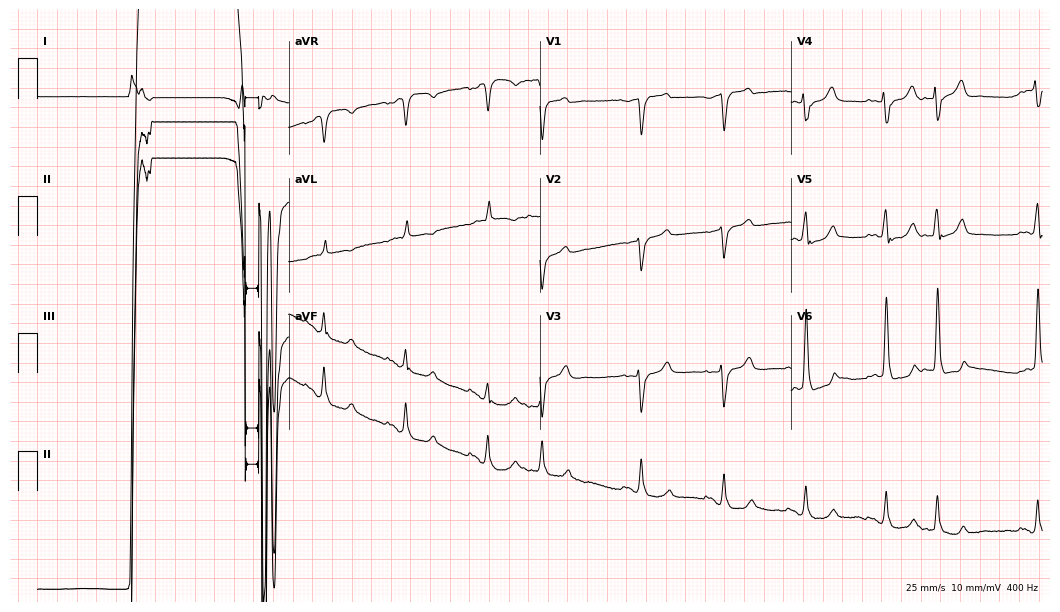
Electrocardiogram, a male, 73 years old. Of the six screened findings (first-degree AV block, right bundle branch block, left bundle branch block, sinus bradycardia, atrial fibrillation, sinus tachycardia), none is recorded.